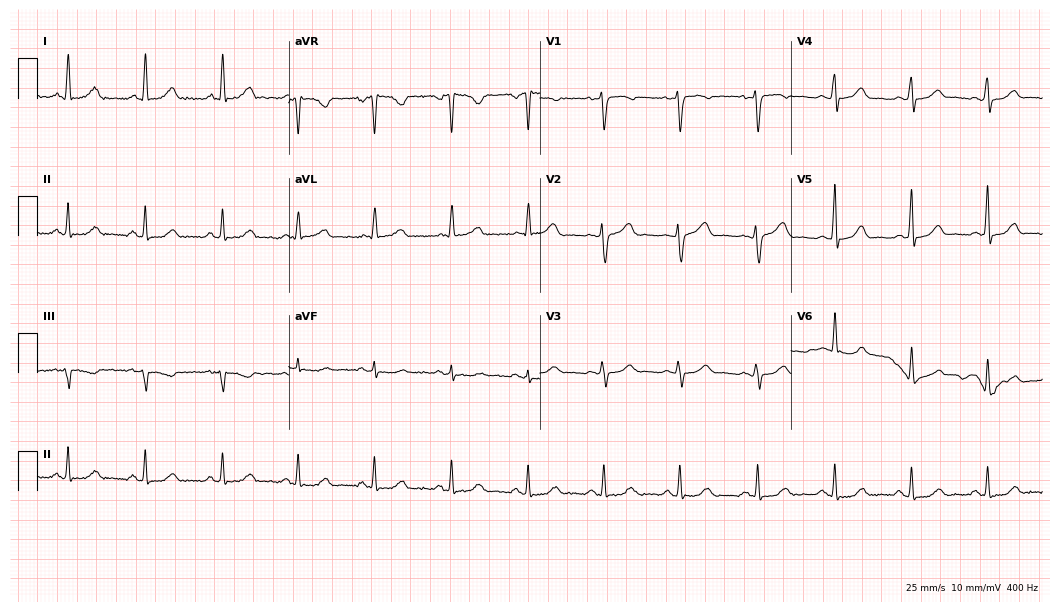
12-lead ECG from a female patient, 51 years old. Labelled as a normal ECG.